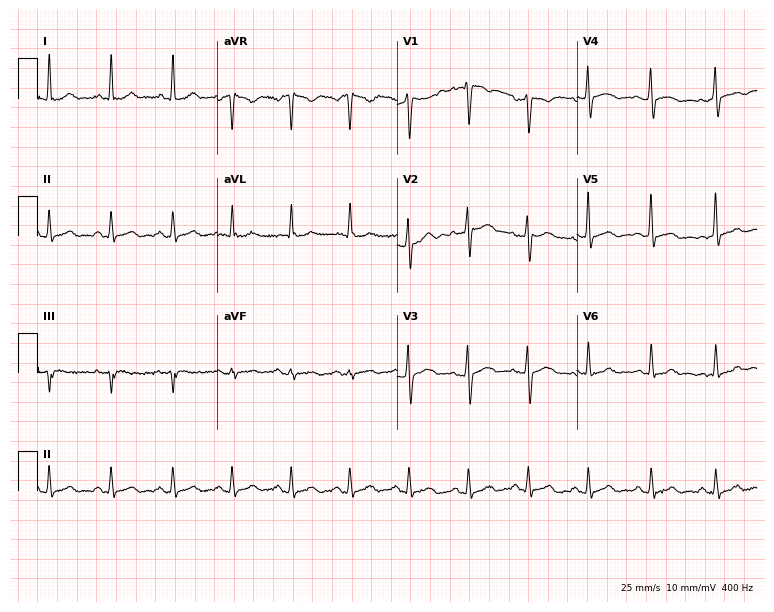
Electrocardiogram, a male patient, 39 years old. Overall reading on record: normal ECG.